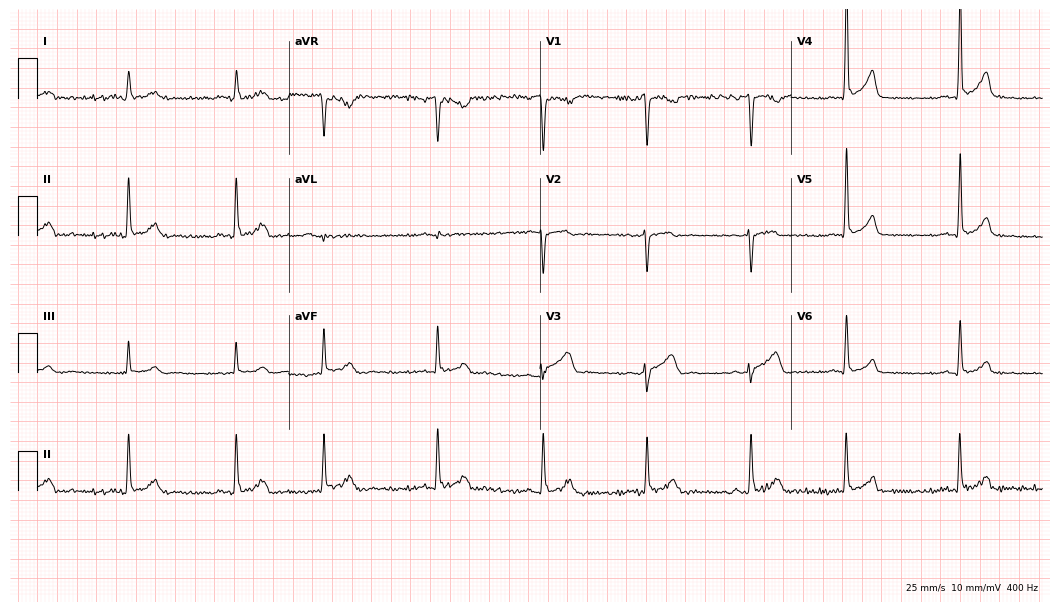
12-lead ECG from a male patient, 44 years old. No first-degree AV block, right bundle branch block, left bundle branch block, sinus bradycardia, atrial fibrillation or sinus tachycardia recorded for this tracing.